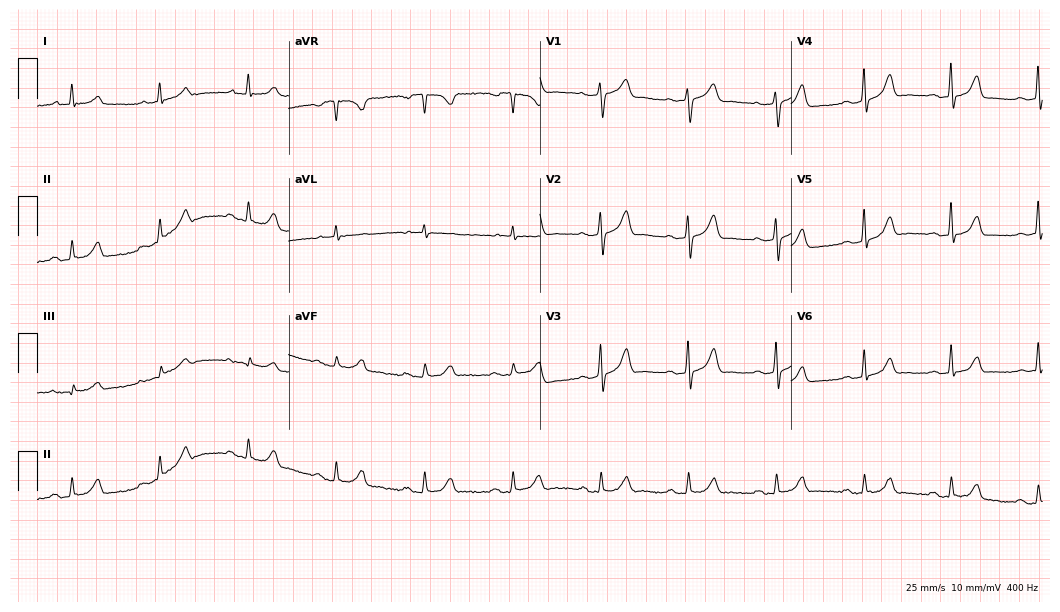
Electrocardiogram (10.2-second recording at 400 Hz), a male patient, 69 years old. Overall reading on record: normal ECG.